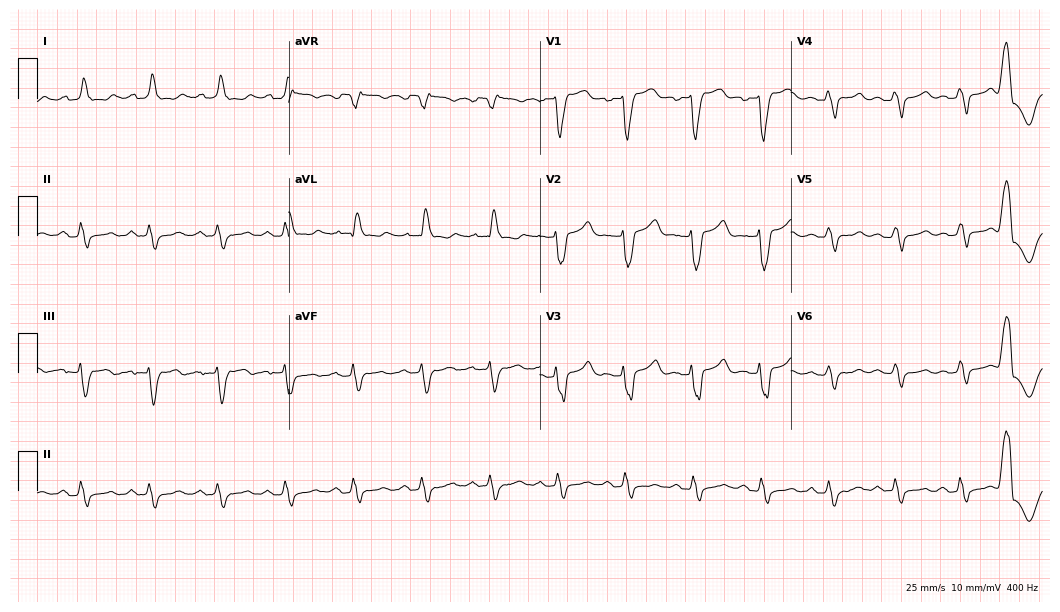
Standard 12-lead ECG recorded from a 59-year-old male patient. The tracing shows left bundle branch block.